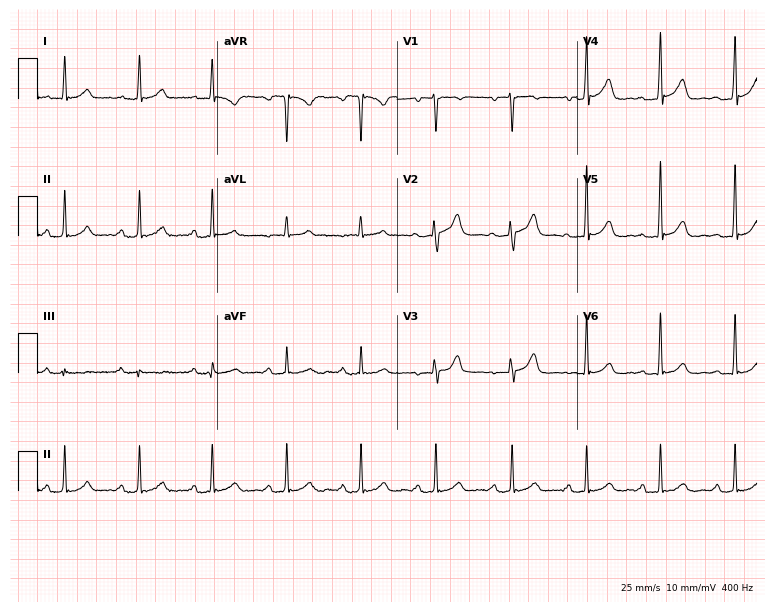
Standard 12-lead ECG recorded from a female, 45 years old (7.3-second recording at 400 Hz). The tracing shows first-degree AV block.